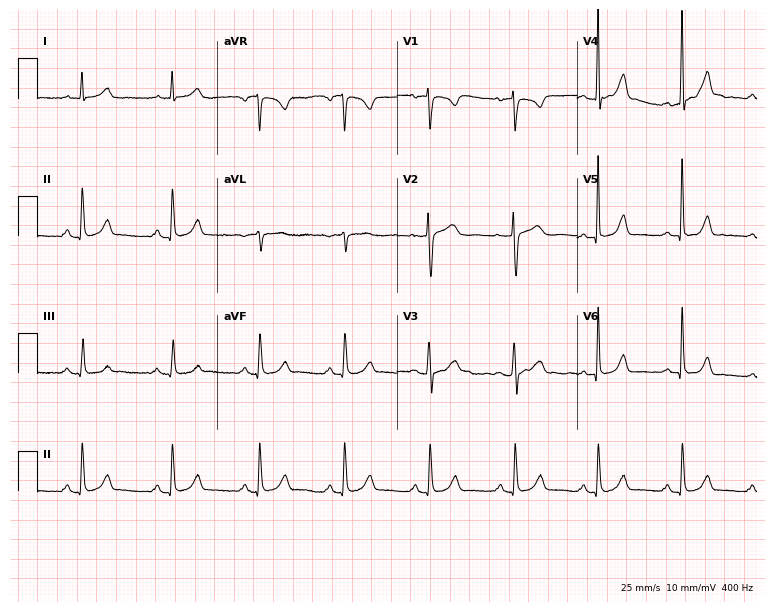
12-lead ECG from a 40-year-old female. Screened for six findings — first-degree AV block, right bundle branch block (RBBB), left bundle branch block (LBBB), sinus bradycardia, atrial fibrillation (AF), sinus tachycardia — none is recorded. Findings outside these six are not listed.